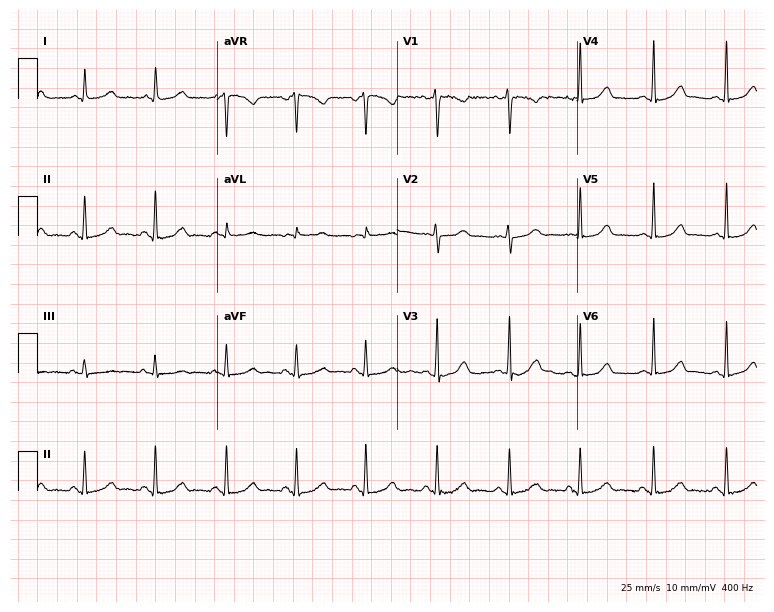
12-lead ECG from a 34-year-old female. No first-degree AV block, right bundle branch block (RBBB), left bundle branch block (LBBB), sinus bradycardia, atrial fibrillation (AF) or sinus tachycardia recorded for this tracing.